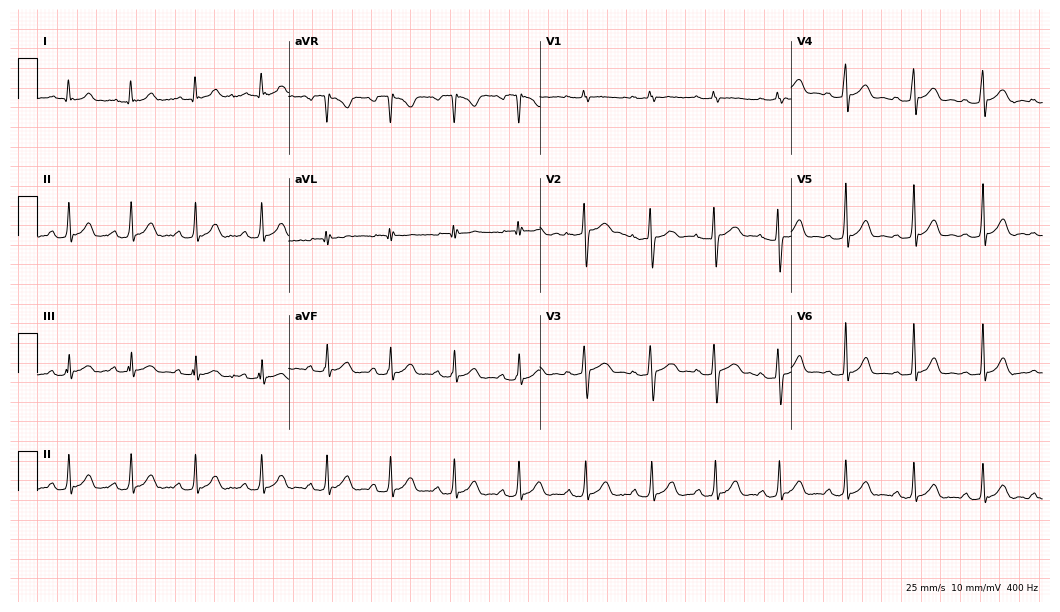
Electrocardiogram (10.2-second recording at 400 Hz), a 19-year-old female. Overall reading on record: normal ECG.